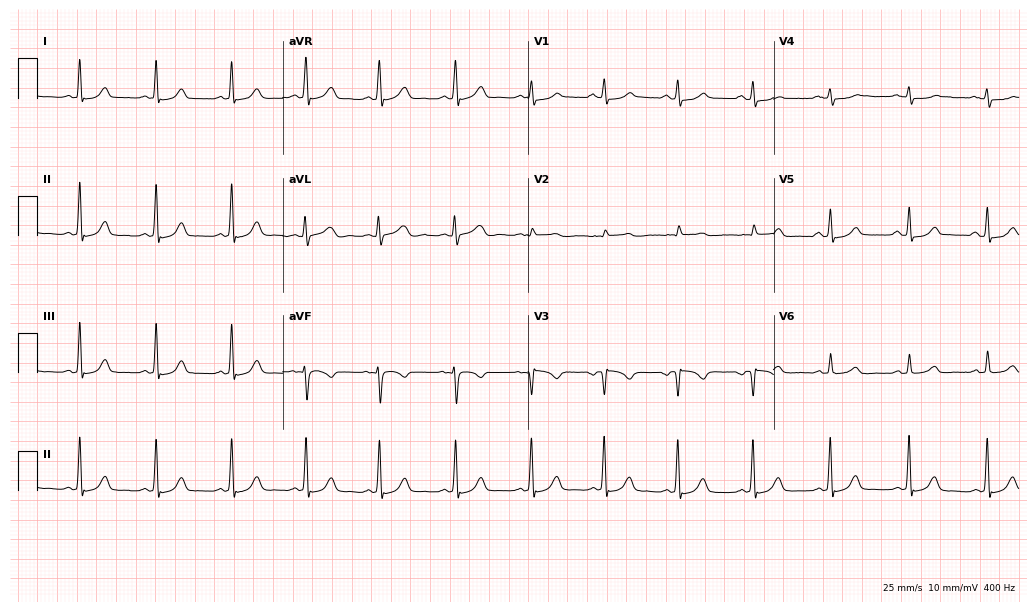
12-lead ECG from a female, 41 years old. Screened for six findings — first-degree AV block, right bundle branch block (RBBB), left bundle branch block (LBBB), sinus bradycardia, atrial fibrillation (AF), sinus tachycardia — none is recorded. Only these six findings were labelled.